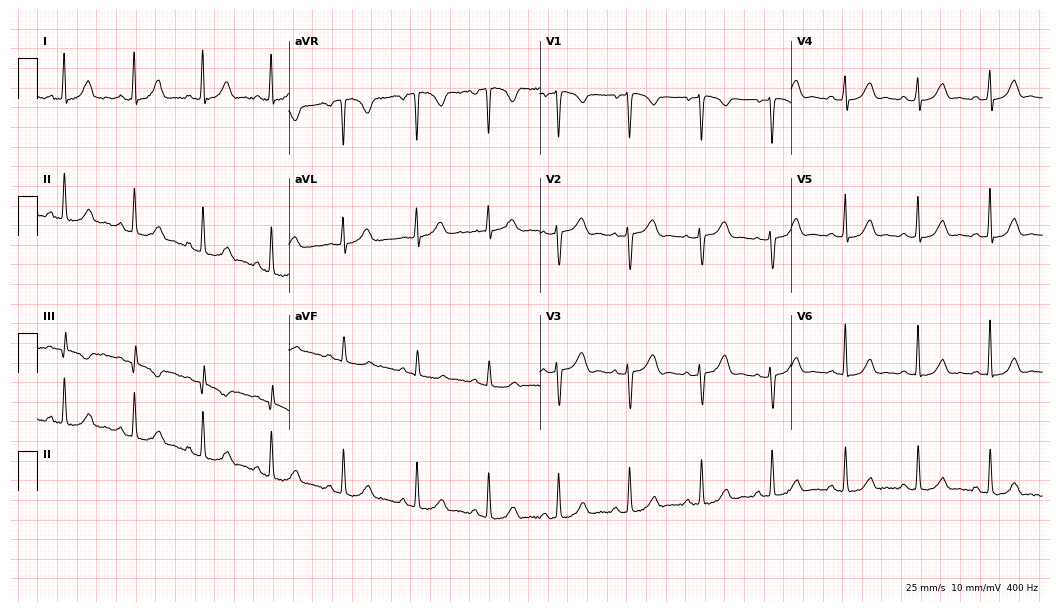
Electrocardiogram (10.2-second recording at 400 Hz), a female patient, 44 years old. Of the six screened findings (first-degree AV block, right bundle branch block (RBBB), left bundle branch block (LBBB), sinus bradycardia, atrial fibrillation (AF), sinus tachycardia), none is recorded. Findings outside these six are not listed.